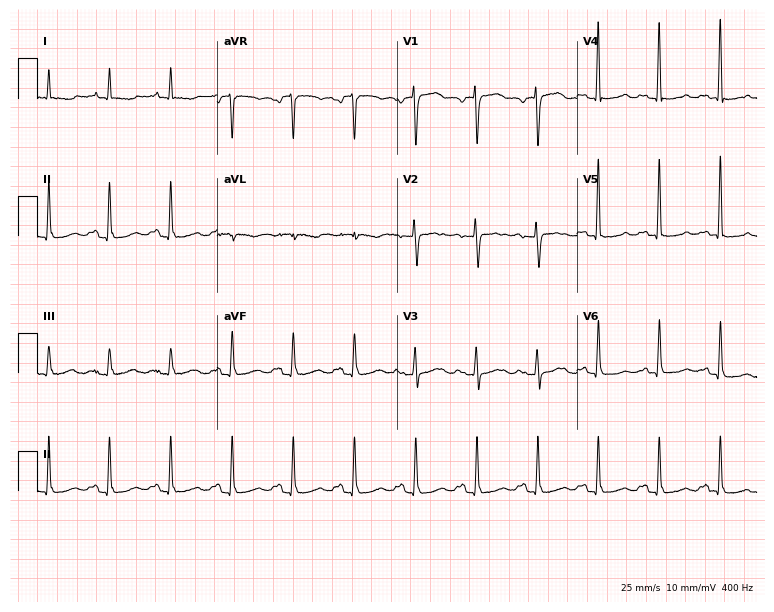
Standard 12-lead ECG recorded from an 83-year-old female patient (7.3-second recording at 400 Hz). Read as a normal ECG.